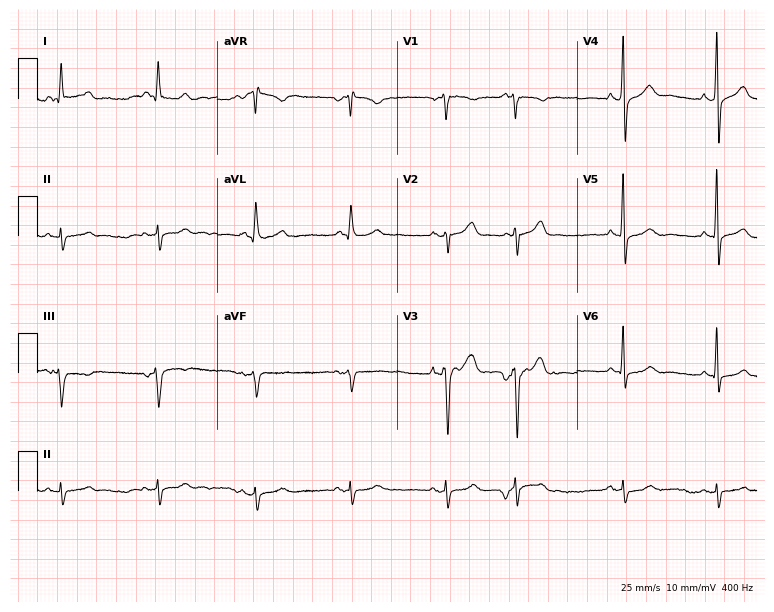
12-lead ECG from a 69-year-old man (7.3-second recording at 400 Hz). No first-degree AV block, right bundle branch block, left bundle branch block, sinus bradycardia, atrial fibrillation or sinus tachycardia recorded for this tracing. Findings outside these six are not listed.